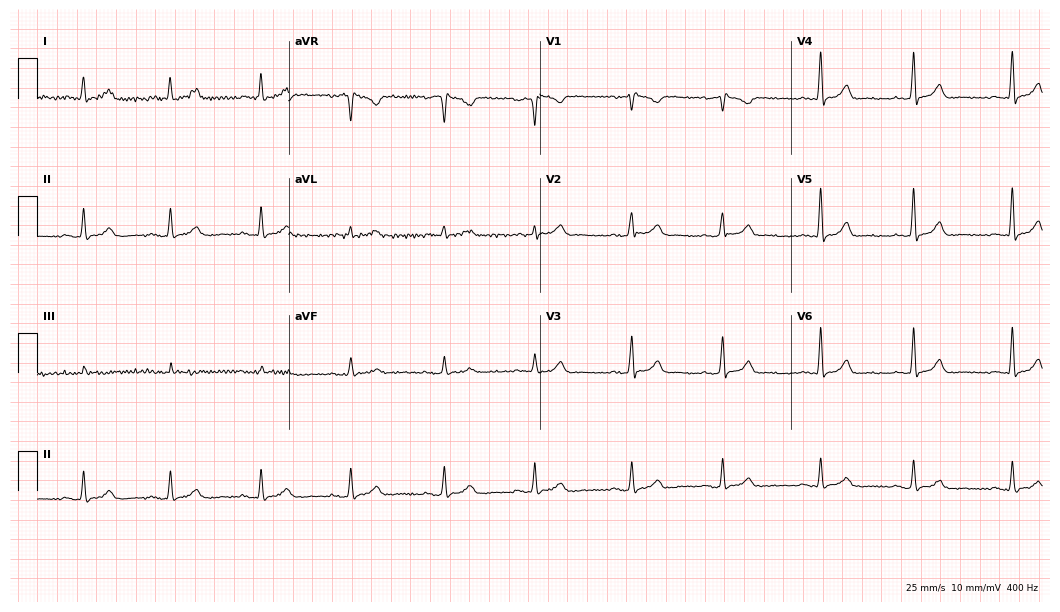
Resting 12-lead electrocardiogram. Patient: a woman, 58 years old. None of these six findings is recorded: first-degree AV block, right bundle branch block, left bundle branch block, sinus bradycardia, atrial fibrillation, sinus tachycardia. Findings outside these six are not listed.